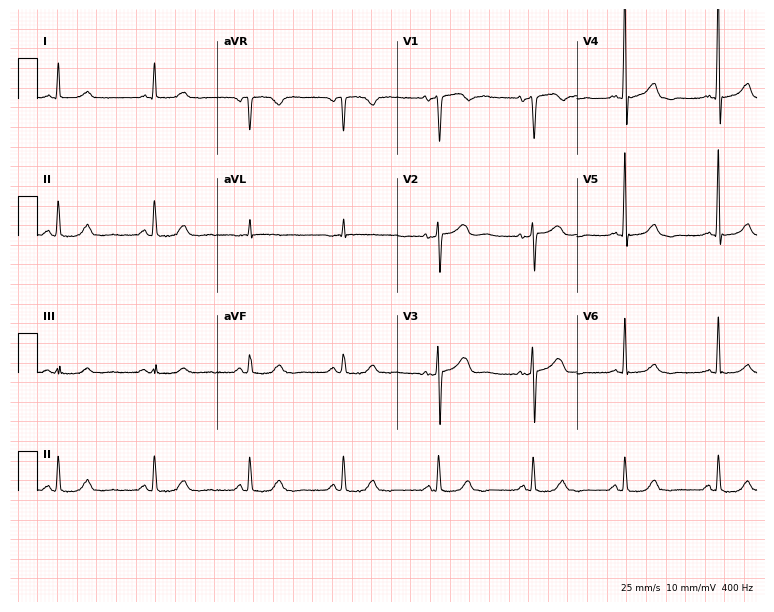
Resting 12-lead electrocardiogram. Patient: a male, 68 years old. None of these six findings is recorded: first-degree AV block, right bundle branch block, left bundle branch block, sinus bradycardia, atrial fibrillation, sinus tachycardia. Other findings, if any, are not listed.